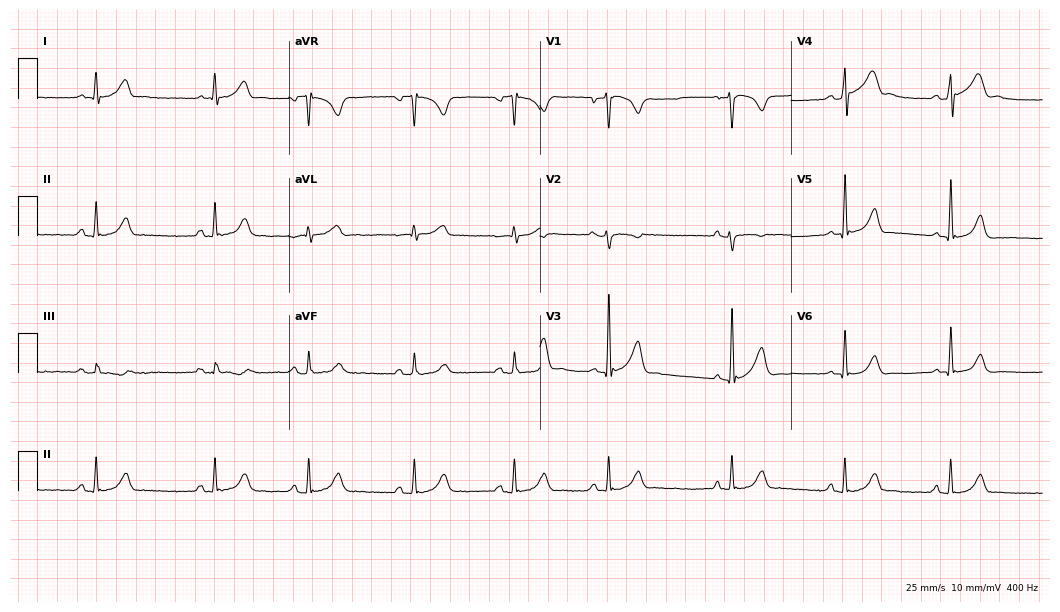
Resting 12-lead electrocardiogram. Patient: a male, 29 years old. None of these six findings is recorded: first-degree AV block, right bundle branch block, left bundle branch block, sinus bradycardia, atrial fibrillation, sinus tachycardia. Findings outside these six are not listed.